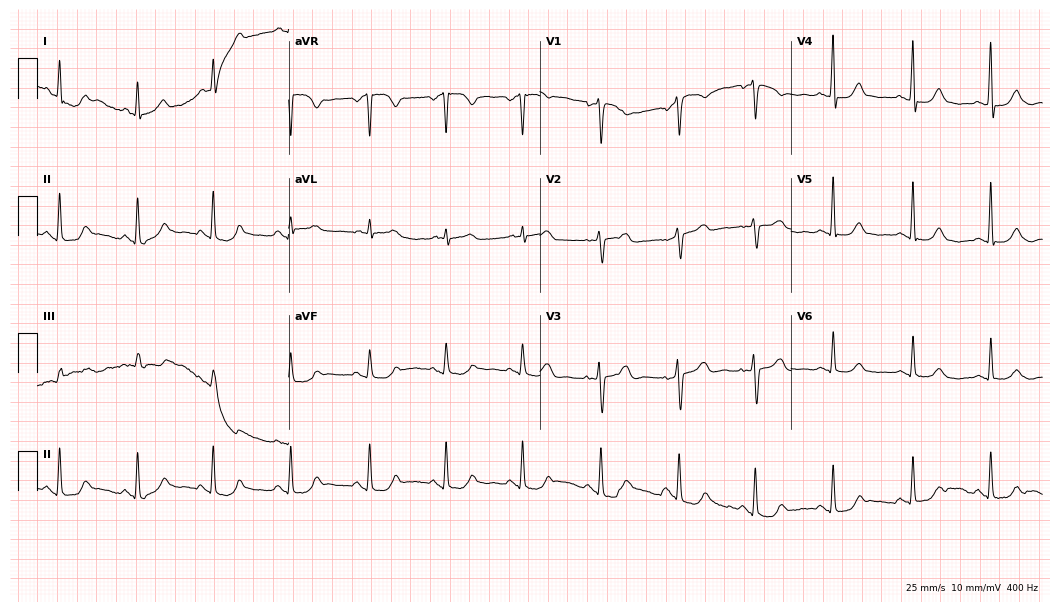
Electrocardiogram (10.2-second recording at 400 Hz), a female patient, 55 years old. Of the six screened findings (first-degree AV block, right bundle branch block (RBBB), left bundle branch block (LBBB), sinus bradycardia, atrial fibrillation (AF), sinus tachycardia), none is recorded.